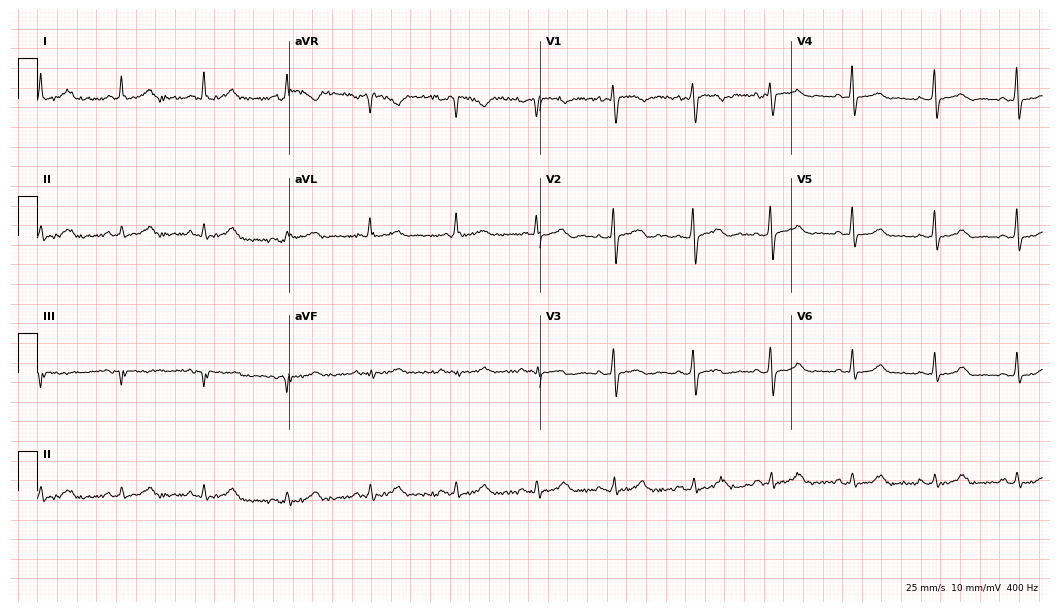
12-lead ECG from a woman, 28 years old. Recorded interpretation: within normal limits.